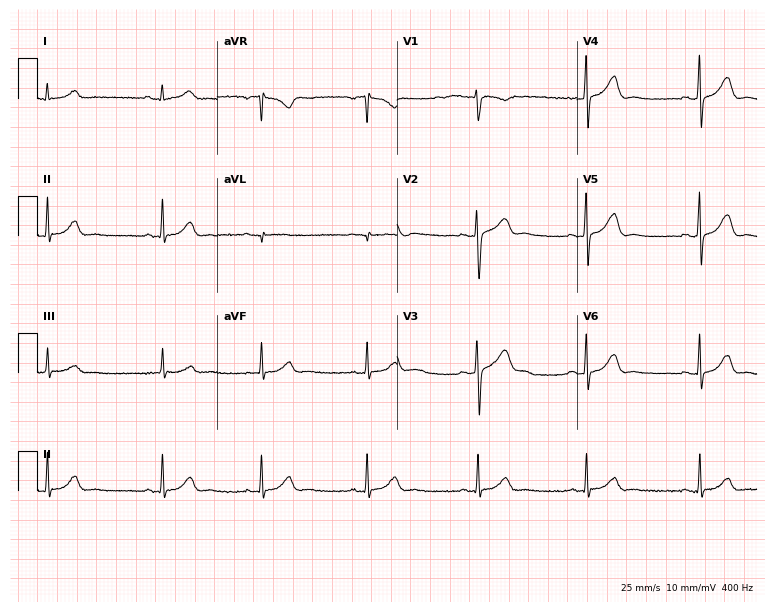
Resting 12-lead electrocardiogram (7.3-second recording at 400 Hz). Patient: a woman, 34 years old. None of these six findings is recorded: first-degree AV block, right bundle branch block, left bundle branch block, sinus bradycardia, atrial fibrillation, sinus tachycardia. Other findings, if any, are not listed.